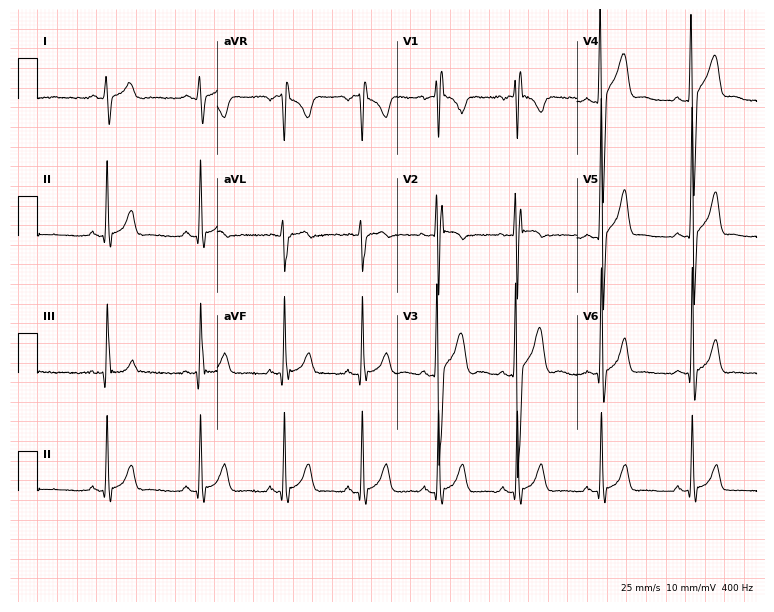
Resting 12-lead electrocardiogram (7.3-second recording at 400 Hz). Patient: a male, 21 years old. None of these six findings is recorded: first-degree AV block, right bundle branch block, left bundle branch block, sinus bradycardia, atrial fibrillation, sinus tachycardia. Other findings, if any, are not listed.